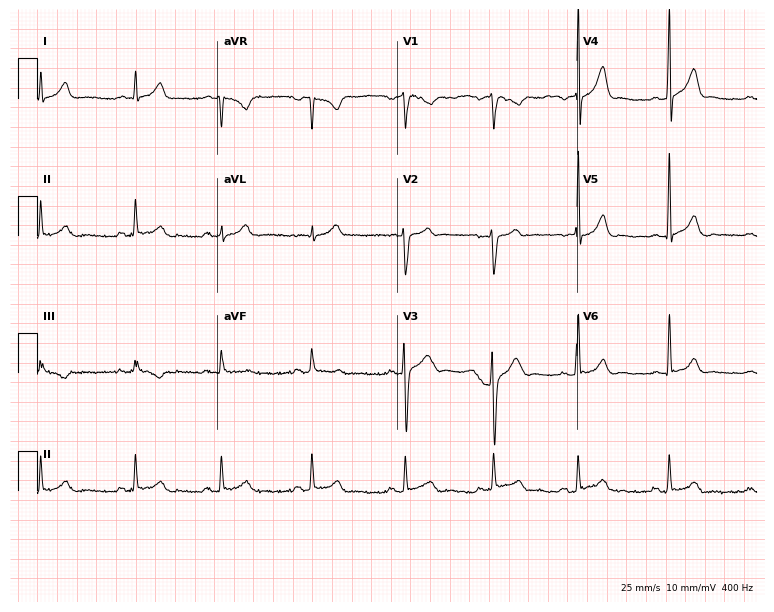
12-lead ECG from a man, 26 years old. Recorded interpretation: within normal limits.